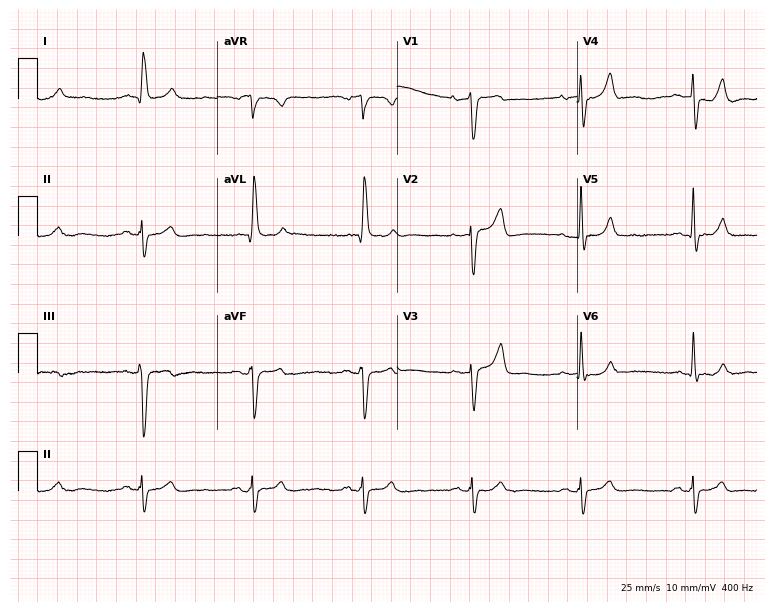
Electrocardiogram (7.3-second recording at 400 Hz), a male patient, 70 years old. Of the six screened findings (first-degree AV block, right bundle branch block, left bundle branch block, sinus bradycardia, atrial fibrillation, sinus tachycardia), none is recorded.